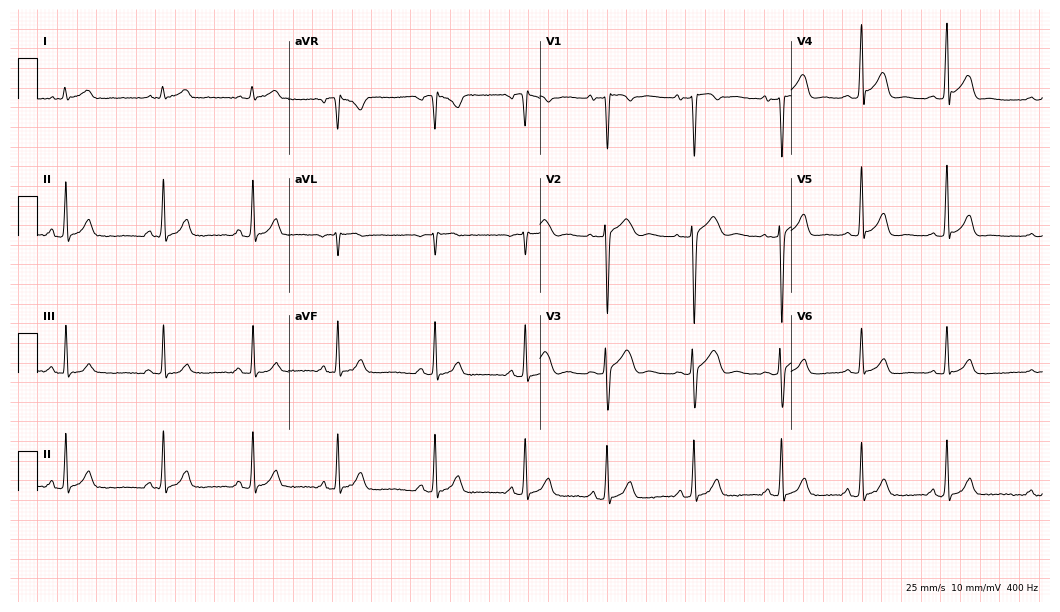
12-lead ECG from a 34-year-old male. No first-degree AV block, right bundle branch block, left bundle branch block, sinus bradycardia, atrial fibrillation or sinus tachycardia recorded for this tracing.